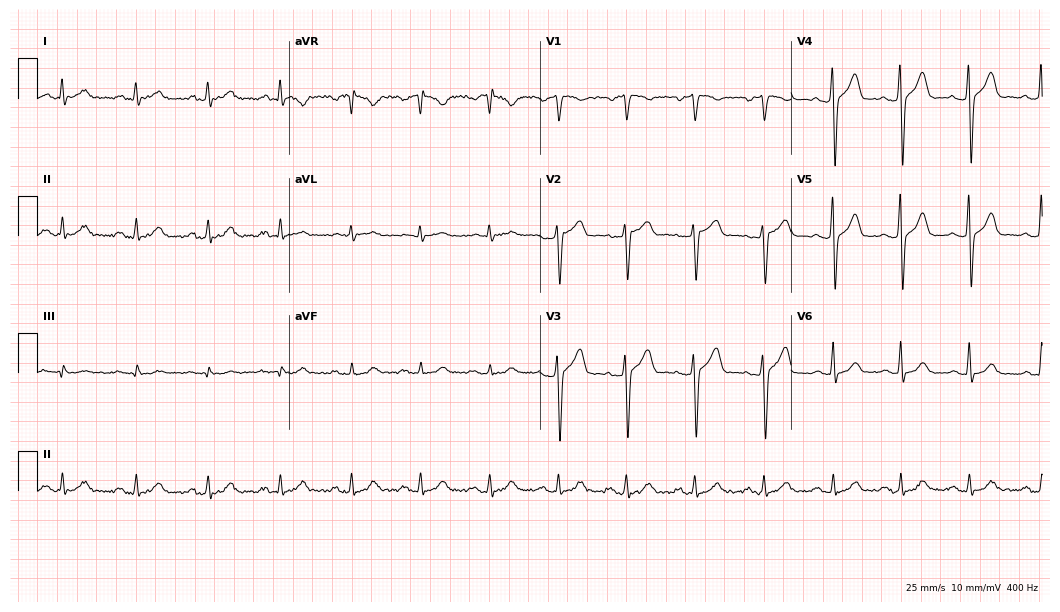
12-lead ECG from a male, 50 years old. Screened for six findings — first-degree AV block, right bundle branch block, left bundle branch block, sinus bradycardia, atrial fibrillation, sinus tachycardia — none is recorded. Only these six findings were labelled.